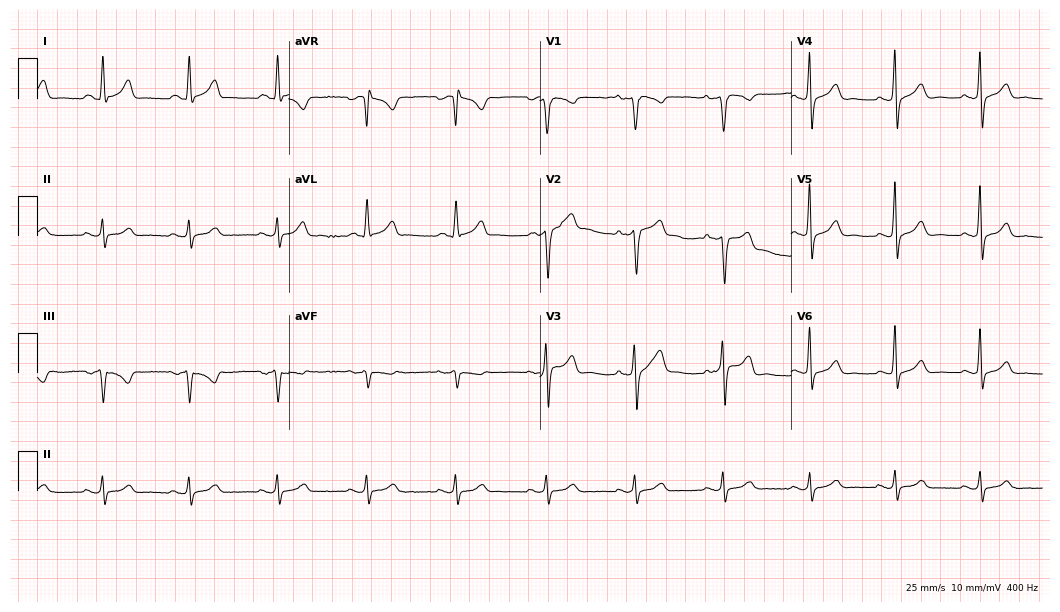
Resting 12-lead electrocardiogram (10.2-second recording at 400 Hz). Patient: a 40-year-old man. None of these six findings is recorded: first-degree AV block, right bundle branch block, left bundle branch block, sinus bradycardia, atrial fibrillation, sinus tachycardia.